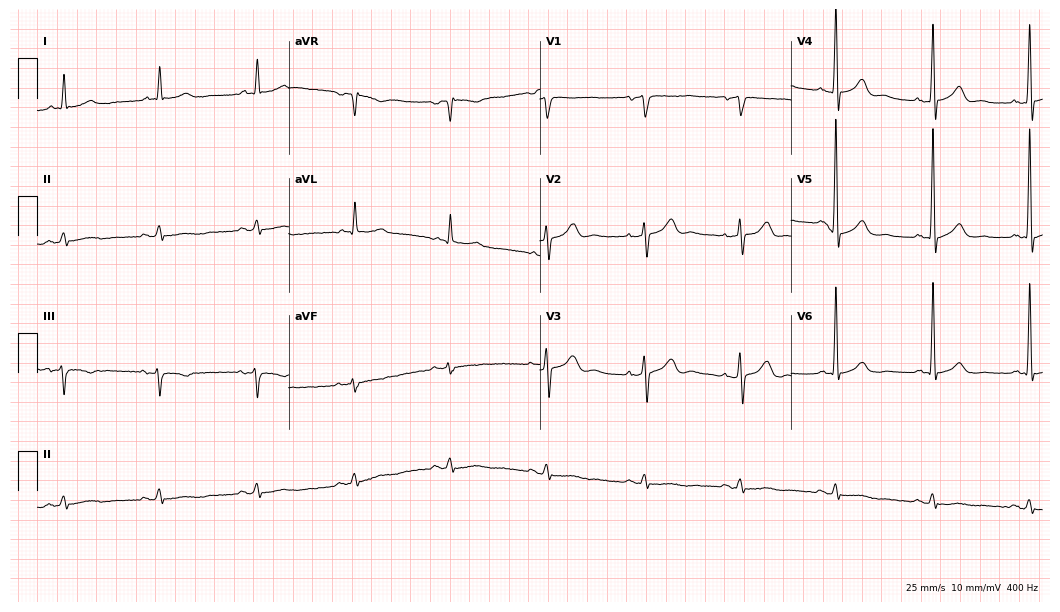
12-lead ECG from a 78-year-old male (10.2-second recording at 400 Hz). Recorded interpretation: within normal limits.